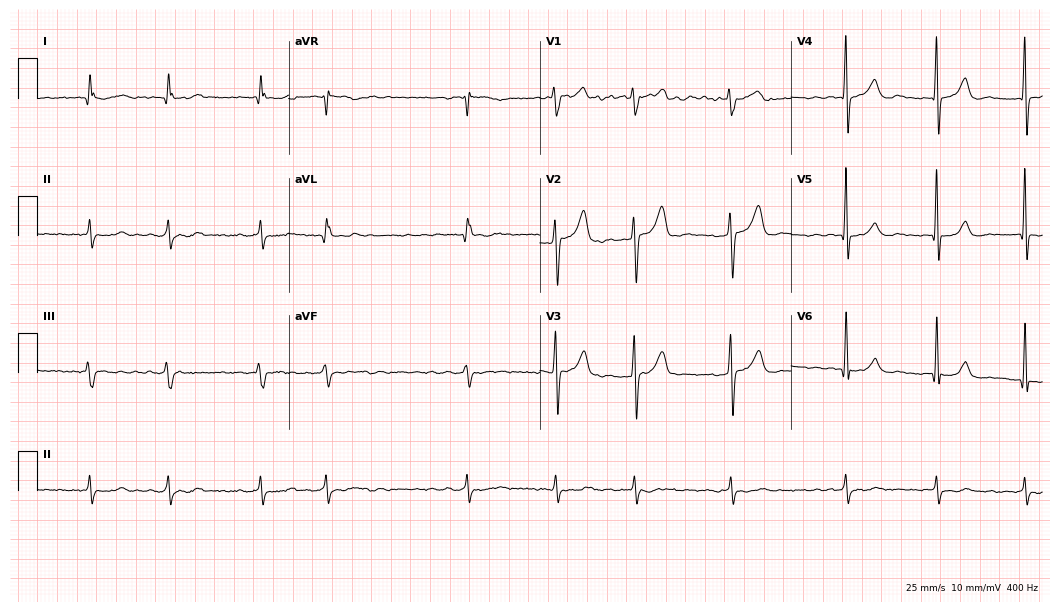
12-lead ECG from a male patient, 55 years old. Shows atrial fibrillation (AF).